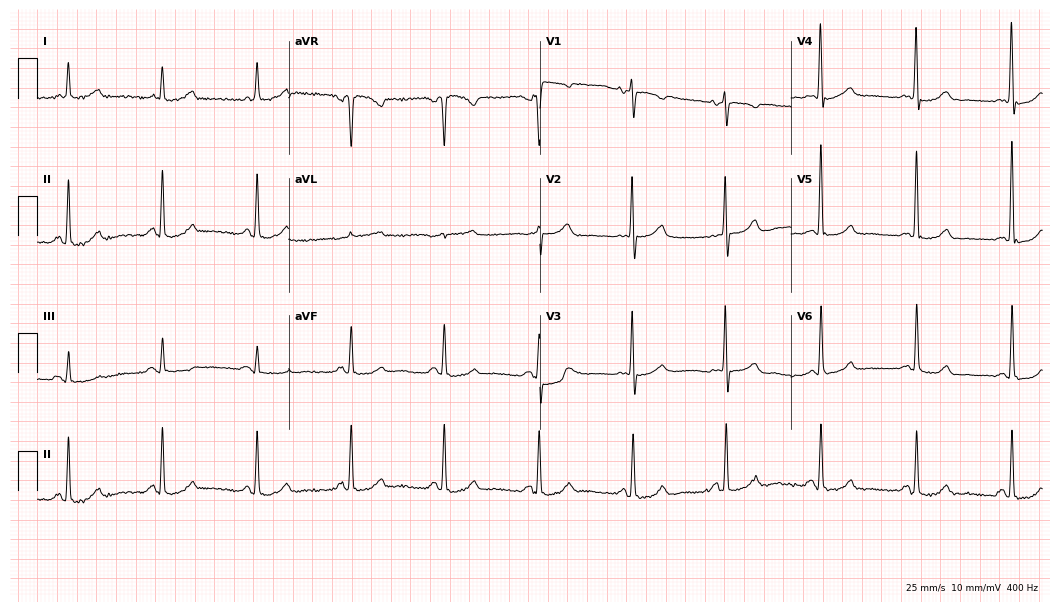
Electrocardiogram, a 72-year-old female. Overall reading on record: normal ECG.